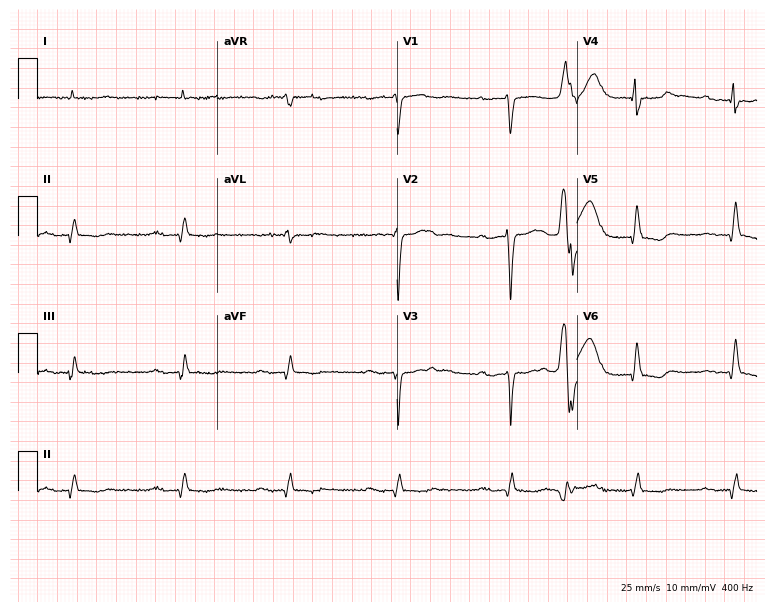
Electrocardiogram (7.3-second recording at 400 Hz), a man, 67 years old. Interpretation includes first-degree AV block, left bundle branch block (LBBB), atrial fibrillation (AF).